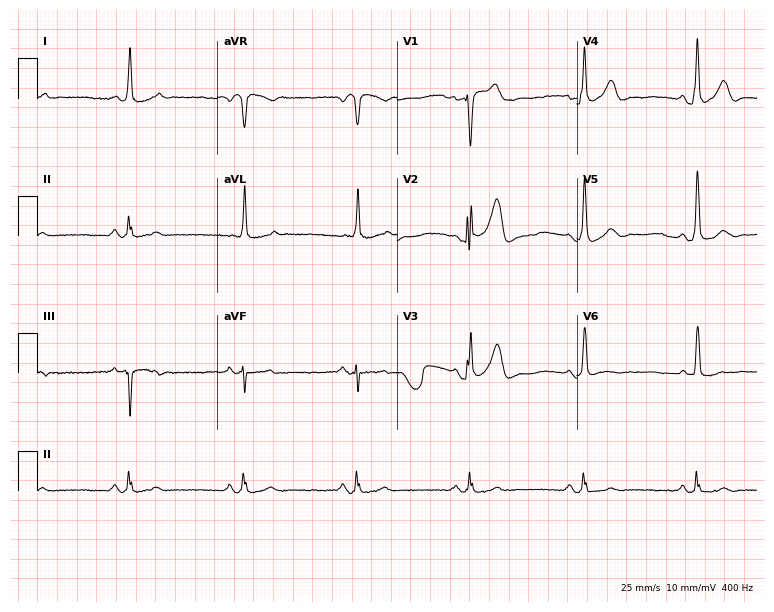
ECG — a man, 69 years old. Screened for six findings — first-degree AV block, right bundle branch block, left bundle branch block, sinus bradycardia, atrial fibrillation, sinus tachycardia — none is recorded.